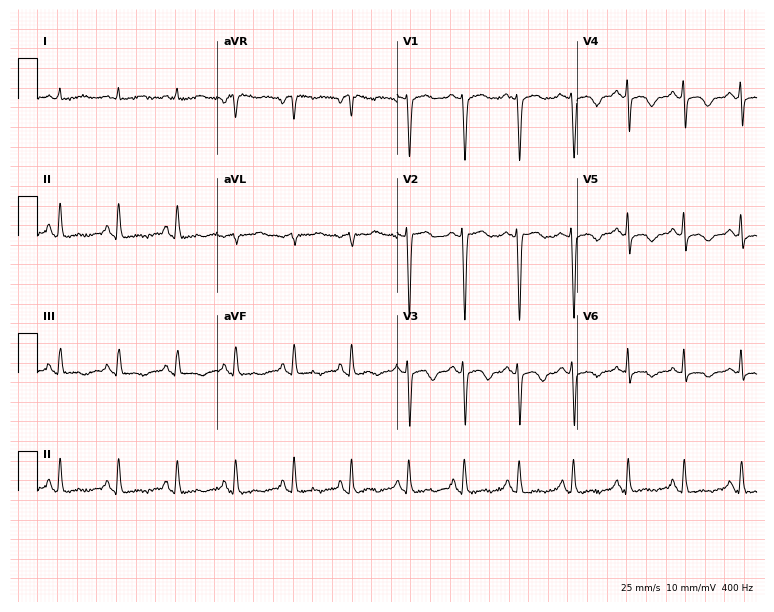
Standard 12-lead ECG recorded from a woman, 49 years old. The tracing shows sinus tachycardia (a sinus rate of 100 beats per minute or more).